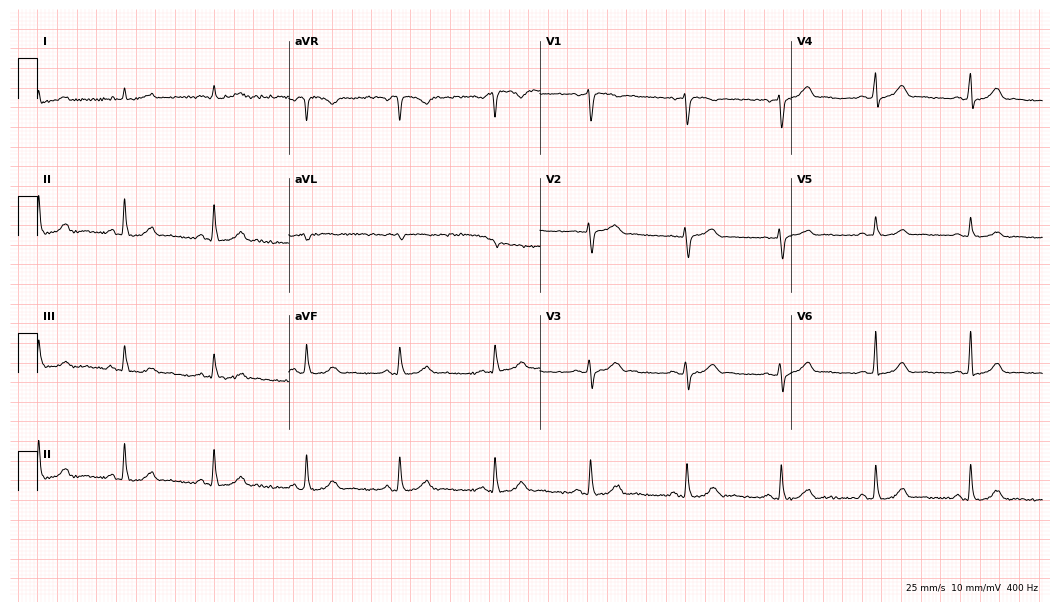
ECG — a 45-year-old woman. Labelled as a normal ECG.